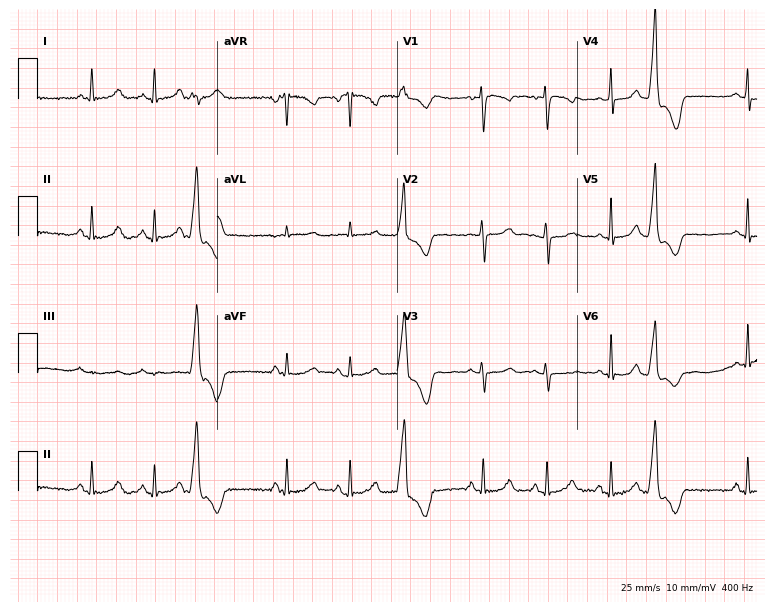
ECG (7.3-second recording at 400 Hz) — a female, 43 years old. Labelled as a normal ECG.